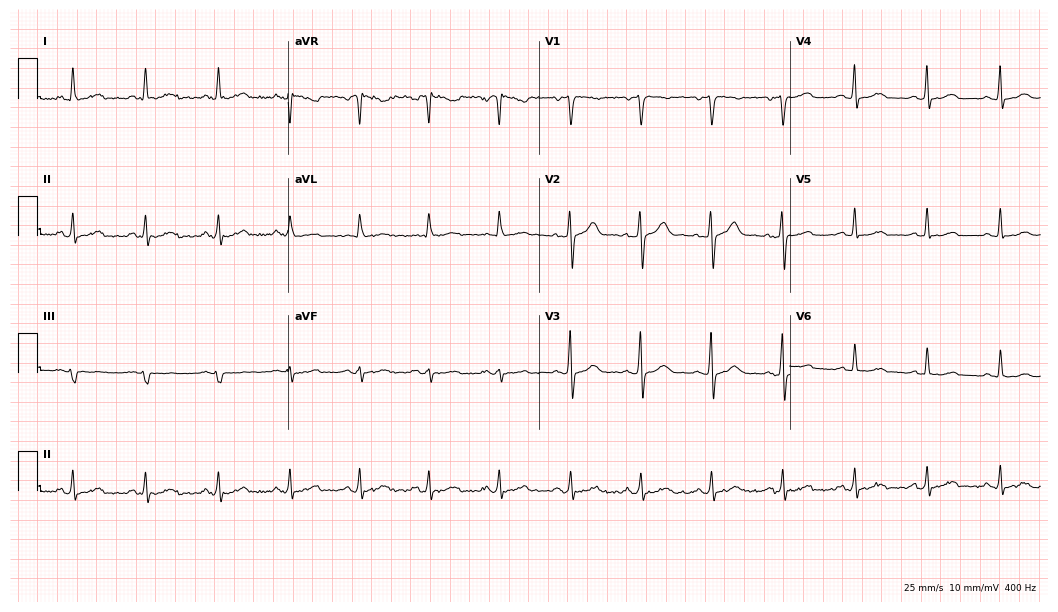
Standard 12-lead ECG recorded from a 61-year-old female patient (10.2-second recording at 400 Hz). Read as a normal ECG.